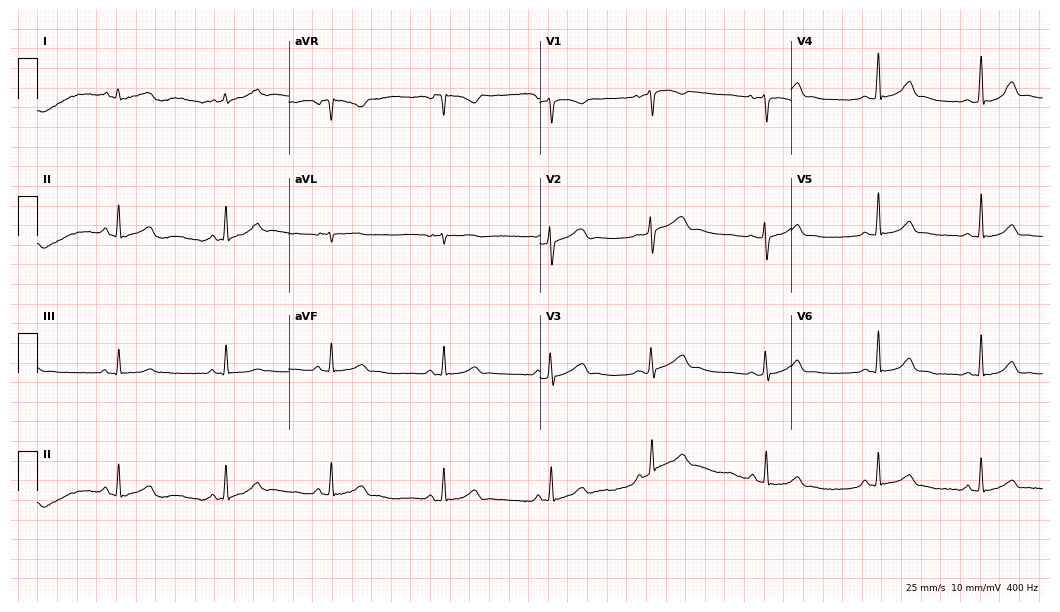
ECG — a female, 29 years old. Screened for six findings — first-degree AV block, right bundle branch block (RBBB), left bundle branch block (LBBB), sinus bradycardia, atrial fibrillation (AF), sinus tachycardia — none is recorded. Only these six findings were labelled.